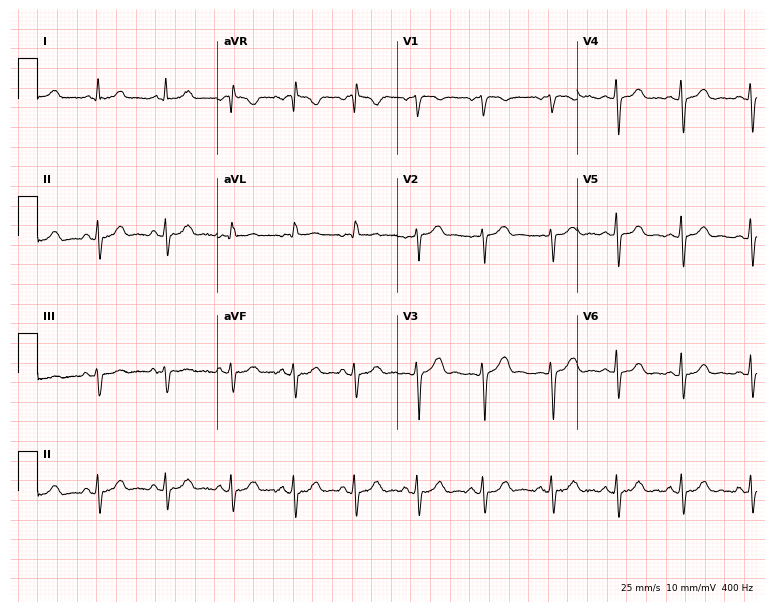
Resting 12-lead electrocardiogram. Patient: a woman, 36 years old. None of these six findings is recorded: first-degree AV block, right bundle branch block, left bundle branch block, sinus bradycardia, atrial fibrillation, sinus tachycardia. Findings outside these six are not listed.